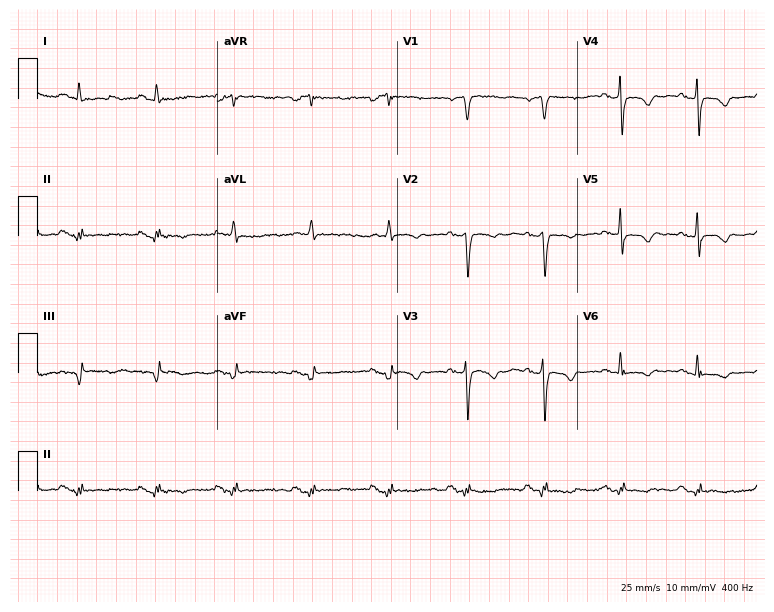
12-lead ECG from a 68-year-old female patient. No first-degree AV block, right bundle branch block (RBBB), left bundle branch block (LBBB), sinus bradycardia, atrial fibrillation (AF) or sinus tachycardia recorded for this tracing.